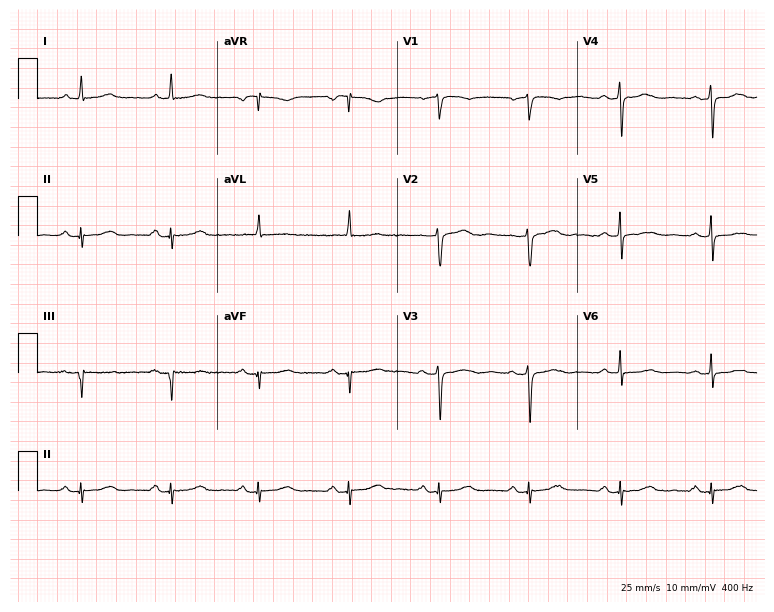
Resting 12-lead electrocardiogram (7.3-second recording at 400 Hz). Patient: a female, 58 years old. None of these six findings is recorded: first-degree AV block, right bundle branch block, left bundle branch block, sinus bradycardia, atrial fibrillation, sinus tachycardia. Only these six findings were labelled.